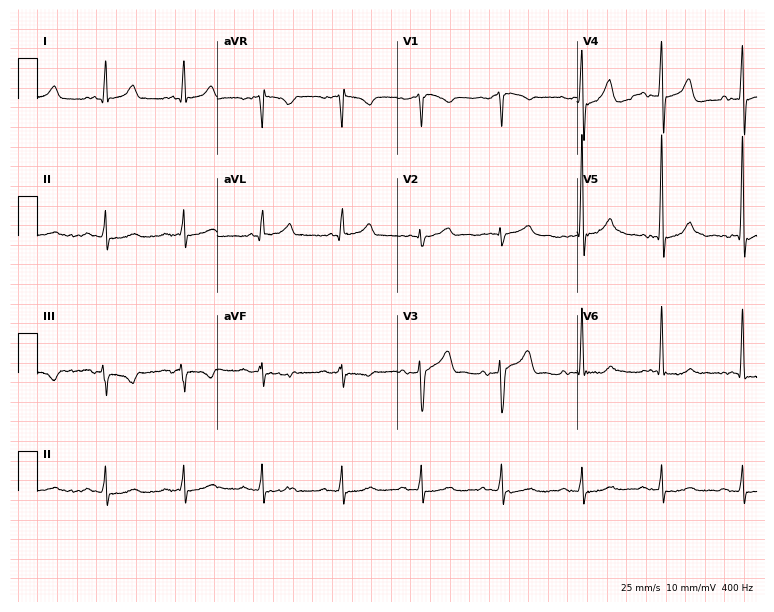
12-lead ECG from a 75-year-old male. Screened for six findings — first-degree AV block, right bundle branch block (RBBB), left bundle branch block (LBBB), sinus bradycardia, atrial fibrillation (AF), sinus tachycardia — none is recorded.